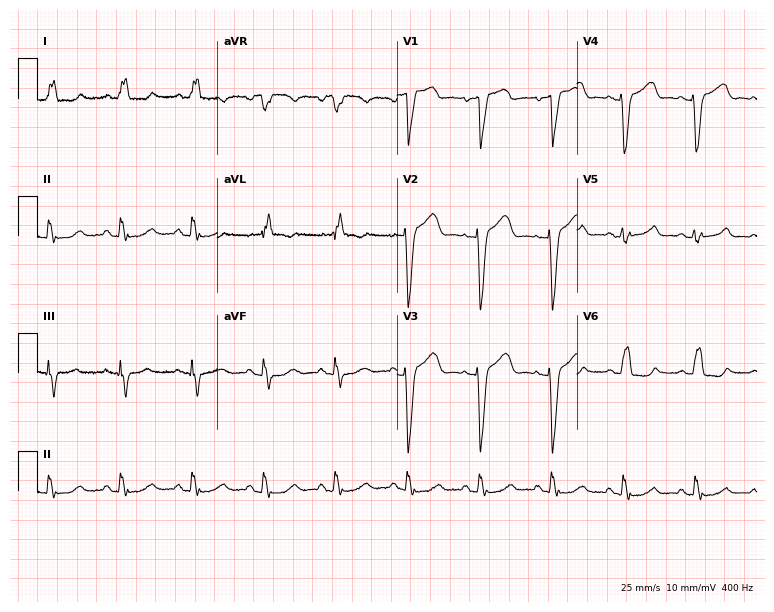
Electrocardiogram, a female, 74 years old. Interpretation includes left bundle branch block.